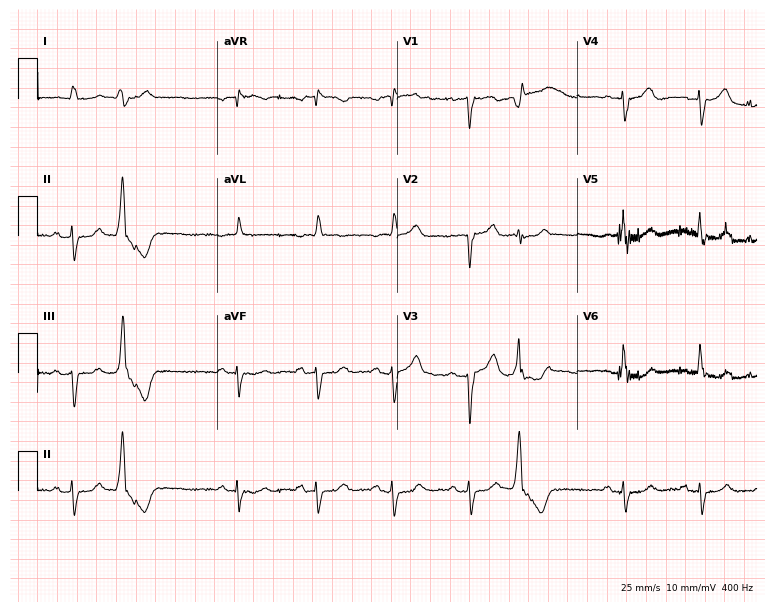
Resting 12-lead electrocardiogram (7.3-second recording at 400 Hz). Patient: an 81-year-old male. None of these six findings is recorded: first-degree AV block, right bundle branch block, left bundle branch block, sinus bradycardia, atrial fibrillation, sinus tachycardia. Only these six findings were labelled.